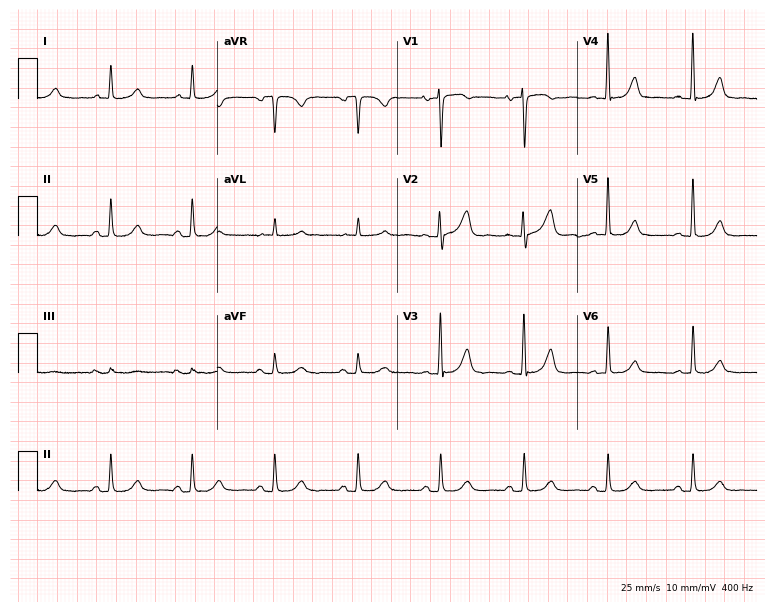
12-lead ECG from an 80-year-old female patient. Screened for six findings — first-degree AV block, right bundle branch block, left bundle branch block, sinus bradycardia, atrial fibrillation, sinus tachycardia — none is recorded. Other findings, if any, are not listed.